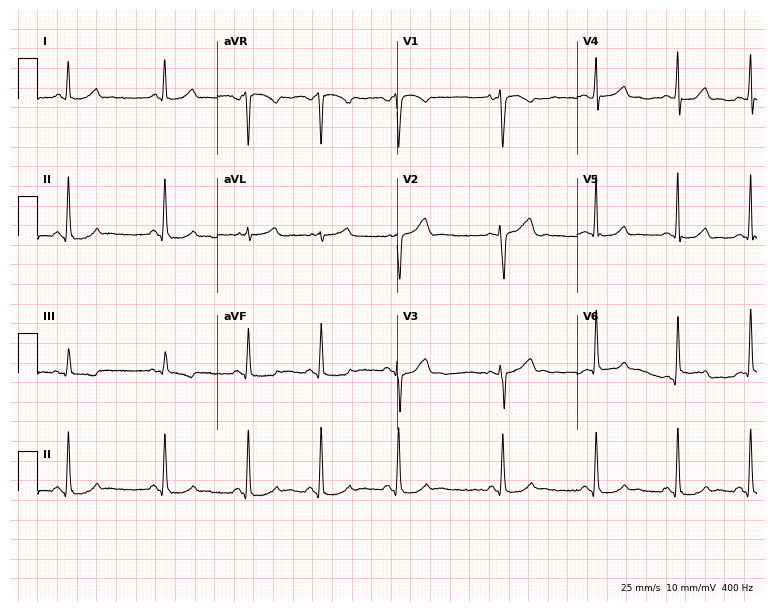
Electrocardiogram (7.3-second recording at 400 Hz), a 26-year-old female. Of the six screened findings (first-degree AV block, right bundle branch block, left bundle branch block, sinus bradycardia, atrial fibrillation, sinus tachycardia), none is recorded.